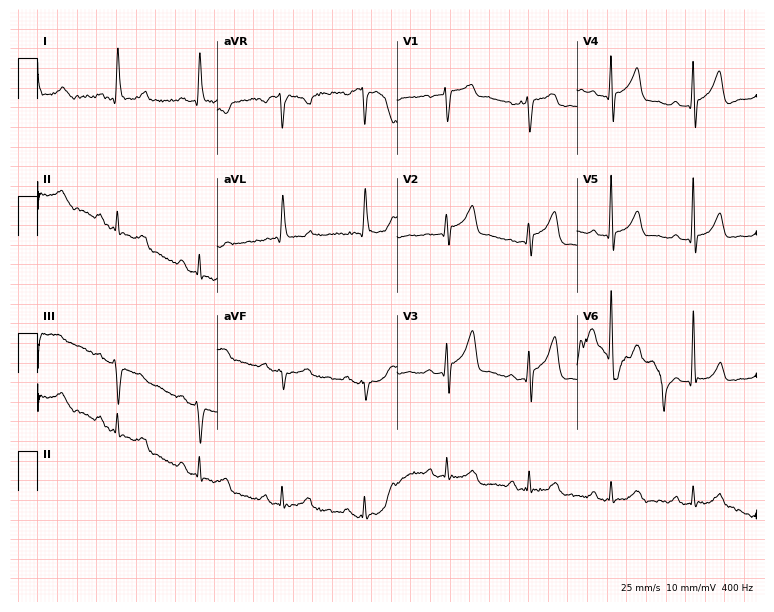
12-lead ECG from a male, 76 years old (7.3-second recording at 400 Hz). No first-degree AV block, right bundle branch block, left bundle branch block, sinus bradycardia, atrial fibrillation or sinus tachycardia recorded for this tracing. Other findings, if any, are not listed.